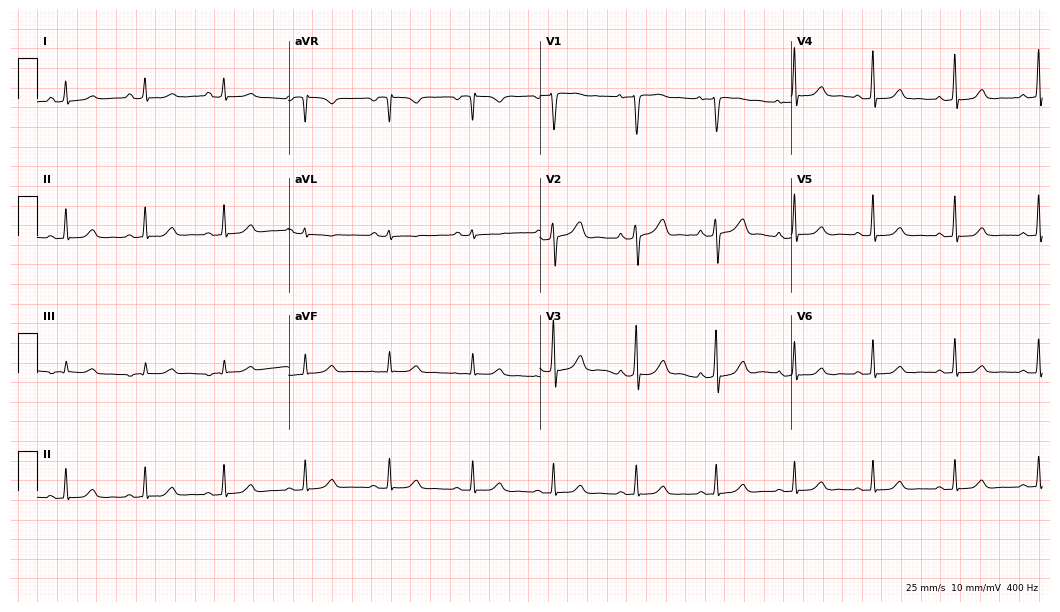
Electrocardiogram (10.2-second recording at 400 Hz), a 36-year-old female patient. Overall reading on record: normal ECG.